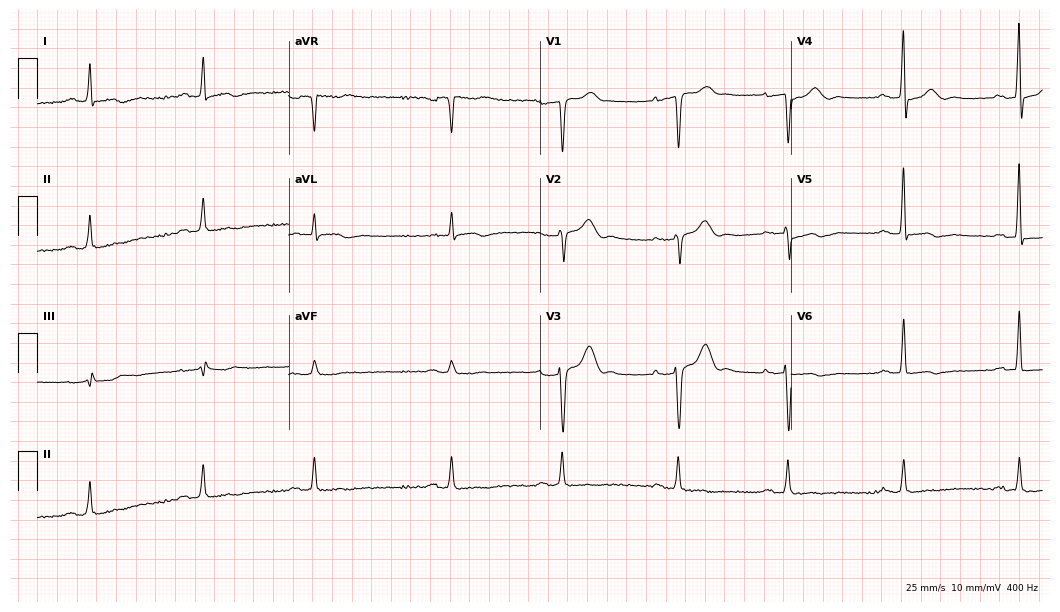
12-lead ECG (10.2-second recording at 400 Hz) from a man, 79 years old. Screened for six findings — first-degree AV block, right bundle branch block (RBBB), left bundle branch block (LBBB), sinus bradycardia, atrial fibrillation (AF), sinus tachycardia — none is recorded. Only these six findings were labelled.